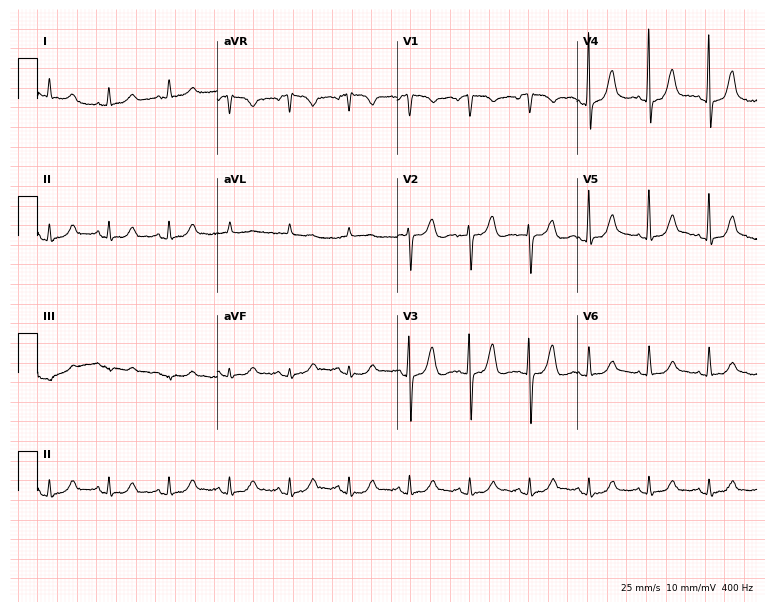
Standard 12-lead ECG recorded from a male patient, 75 years old (7.3-second recording at 400 Hz). Read as a normal ECG.